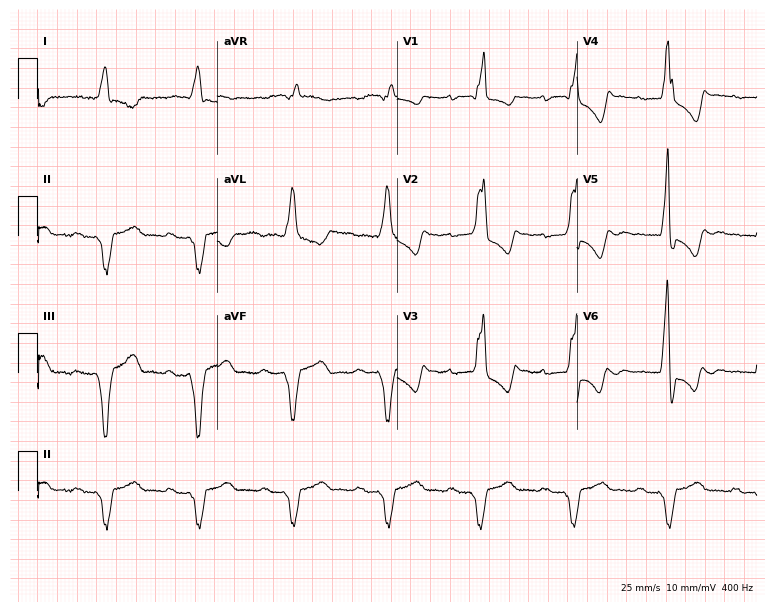
Resting 12-lead electrocardiogram (7.3-second recording at 400 Hz). Patient: an 81-year-old female. None of these six findings is recorded: first-degree AV block, right bundle branch block, left bundle branch block, sinus bradycardia, atrial fibrillation, sinus tachycardia.